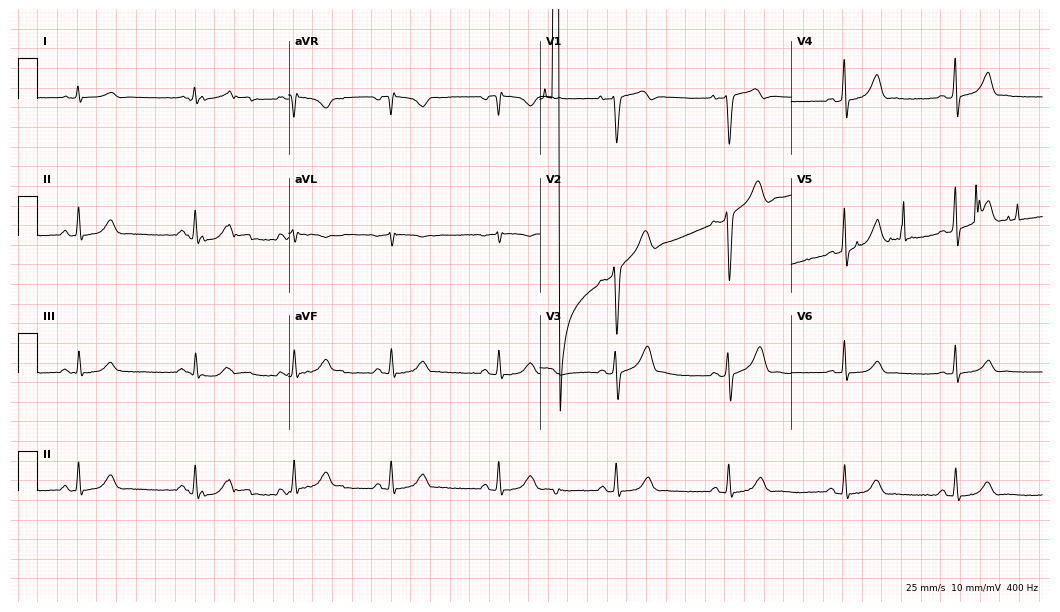
ECG (10.2-second recording at 400 Hz) — a man, 41 years old. Screened for six findings — first-degree AV block, right bundle branch block, left bundle branch block, sinus bradycardia, atrial fibrillation, sinus tachycardia — none is recorded.